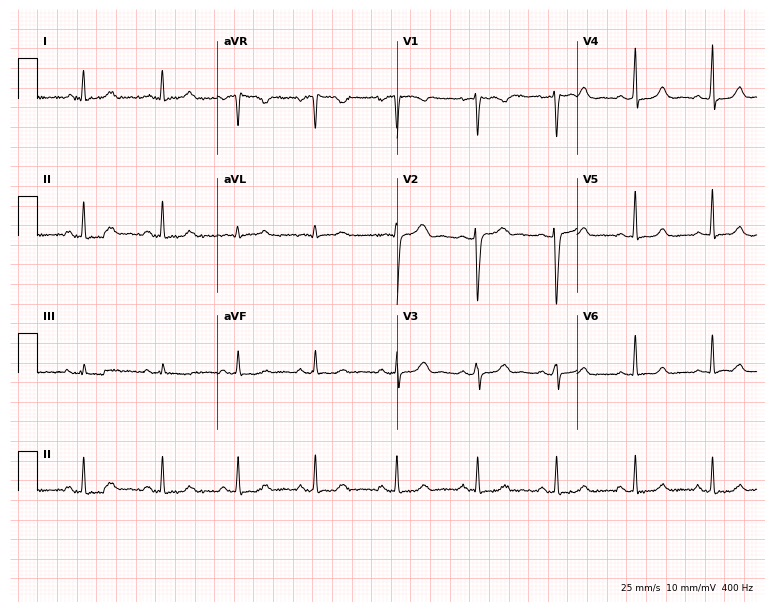
Standard 12-lead ECG recorded from a 29-year-old female (7.3-second recording at 400 Hz). Read as a normal ECG.